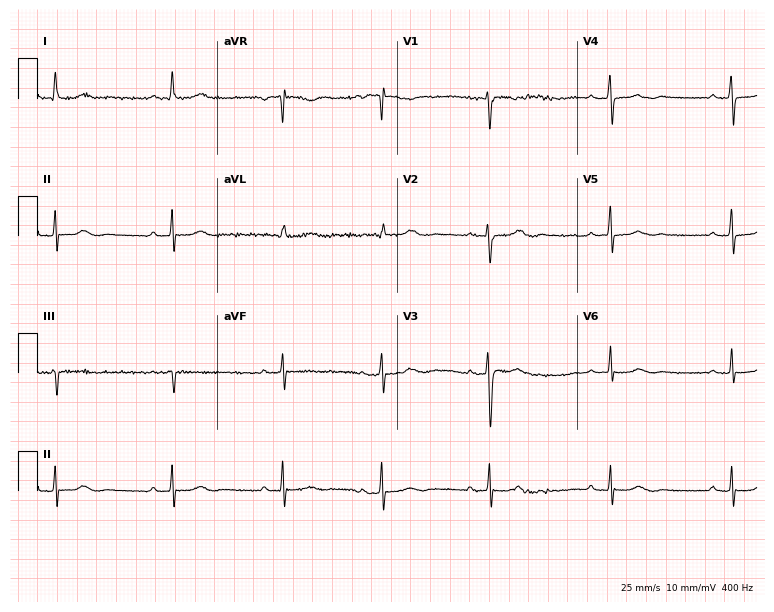
Standard 12-lead ECG recorded from a woman, 51 years old. None of these six findings is recorded: first-degree AV block, right bundle branch block, left bundle branch block, sinus bradycardia, atrial fibrillation, sinus tachycardia. Only these six findings were labelled.